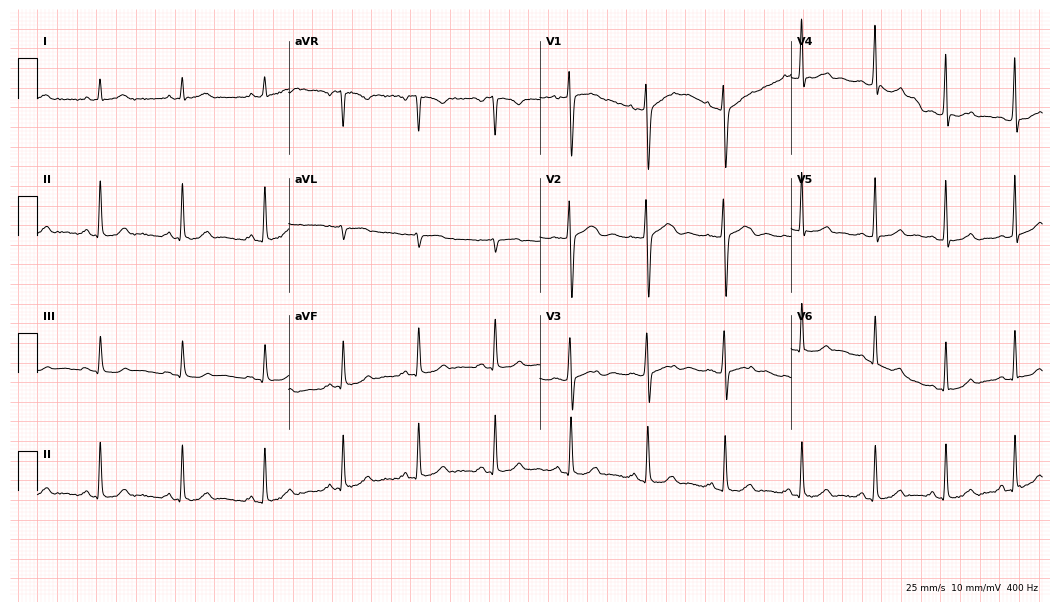
12-lead ECG from a female, 37 years old. No first-degree AV block, right bundle branch block (RBBB), left bundle branch block (LBBB), sinus bradycardia, atrial fibrillation (AF) or sinus tachycardia recorded for this tracing. Findings outside these six are not listed.